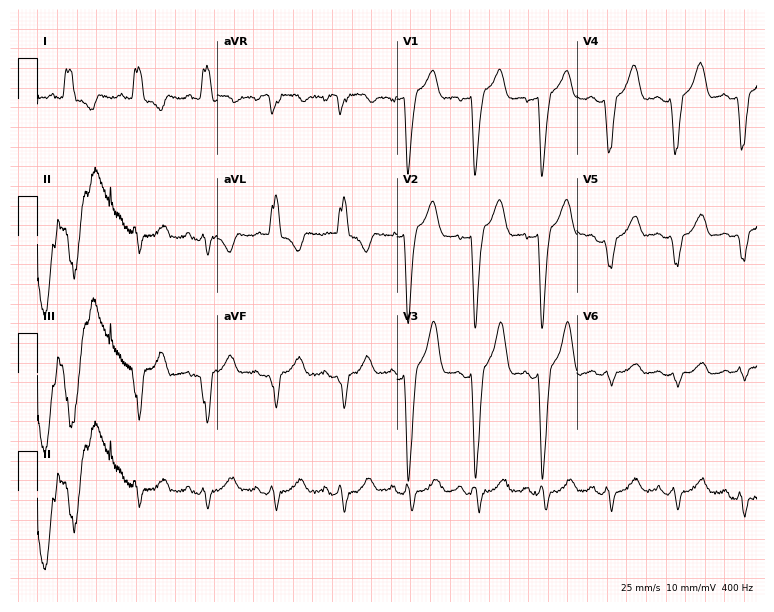
12-lead ECG from a 74-year-old female patient. No first-degree AV block, right bundle branch block, left bundle branch block, sinus bradycardia, atrial fibrillation or sinus tachycardia recorded for this tracing. Findings outside these six are not listed.